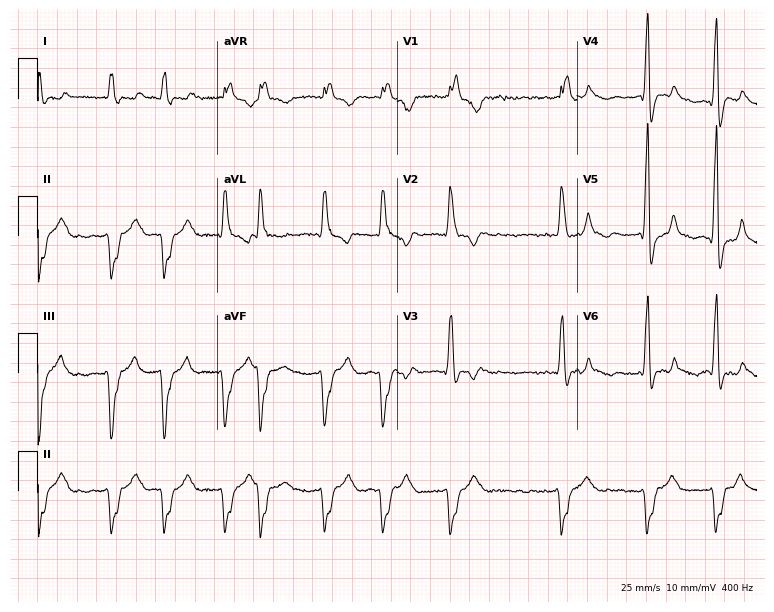
12-lead ECG from a 46-year-old man (7.3-second recording at 400 Hz). Shows right bundle branch block, atrial fibrillation.